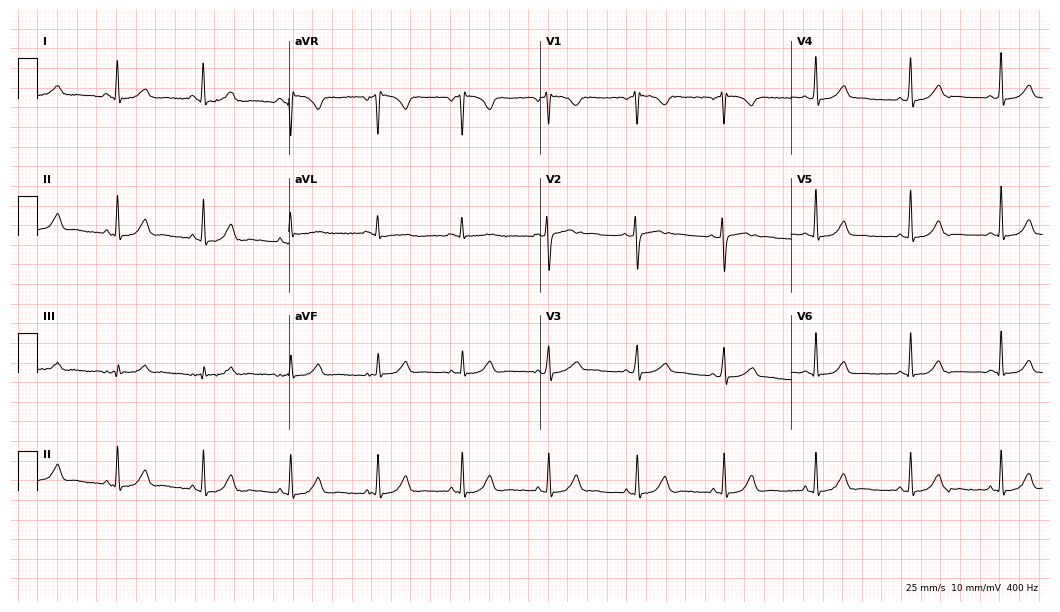
ECG (10.2-second recording at 400 Hz) — a female, 32 years old. Labelled as a normal ECG.